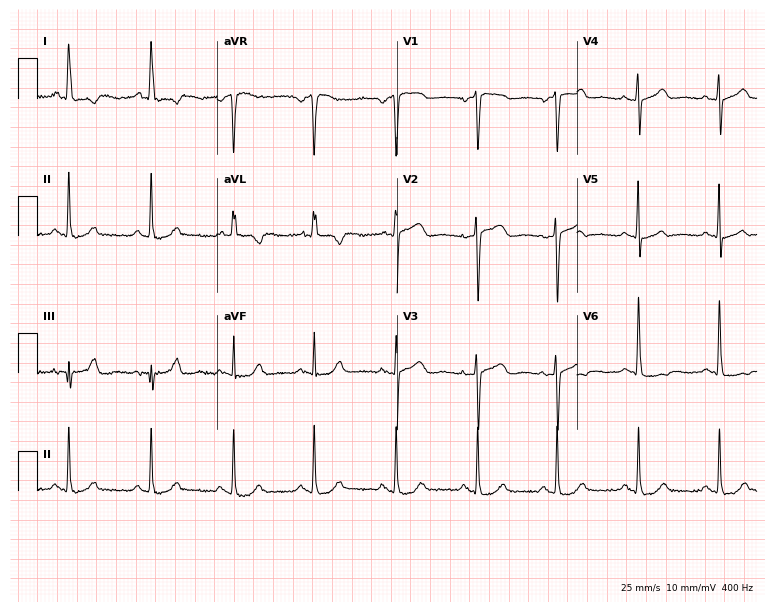
ECG — a woman, 84 years old. Screened for six findings — first-degree AV block, right bundle branch block, left bundle branch block, sinus bradycardia, atrial fibrillation, sinus tachycardia — none is recorded.